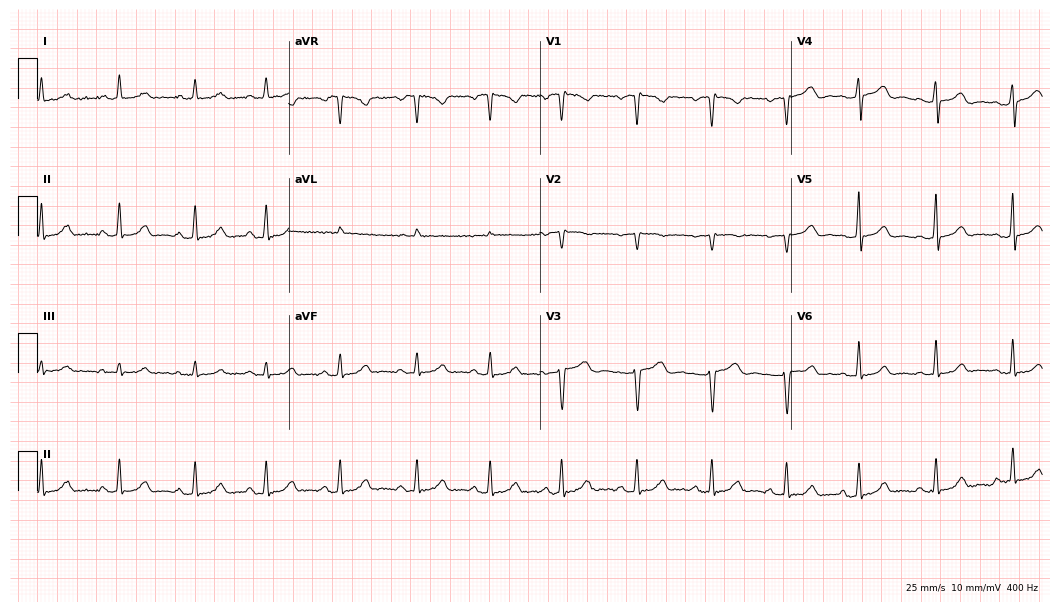
Standard 12-lead ECG recorded from a 52-year-old female patient. Read as a normal ECG.